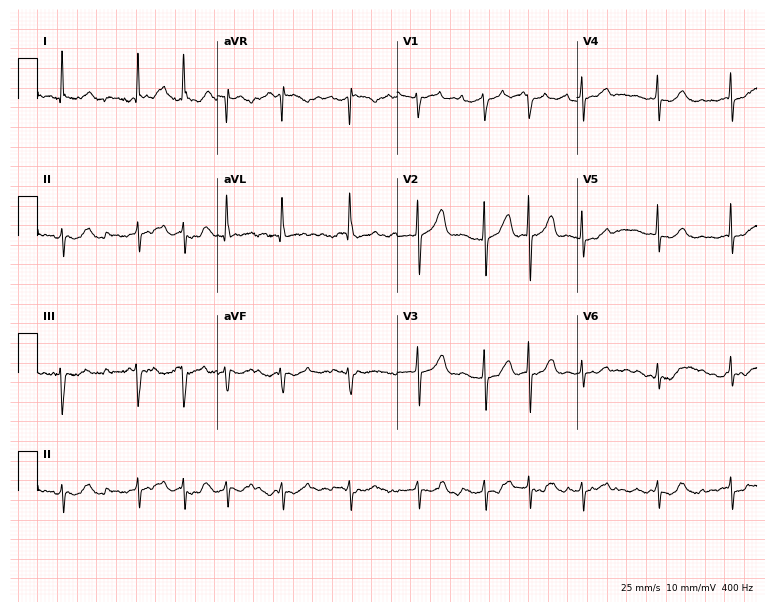
ECG (7.3-second recording at 400 Hz) — a woman, 84 years old. Findings include atrial fibrillation (AF).